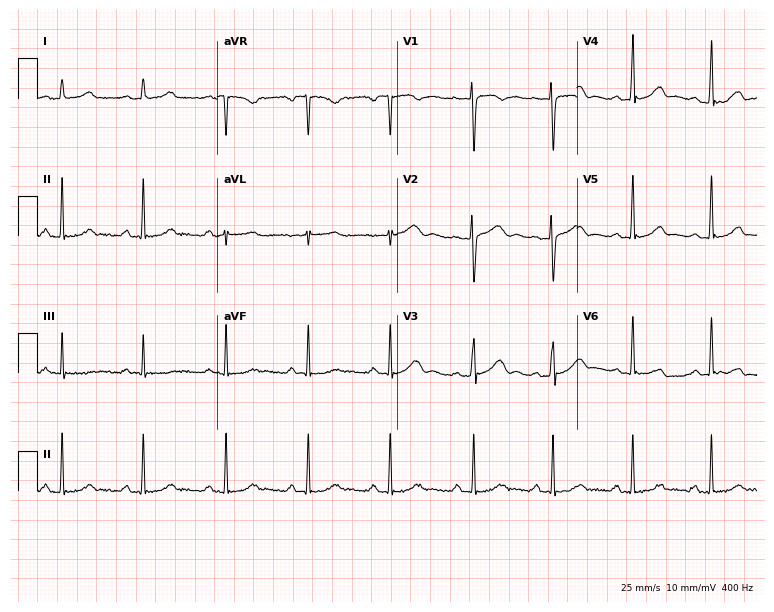
12-lead ECG from a 32-year-old woman. Recorded interpretation: within normal limits.